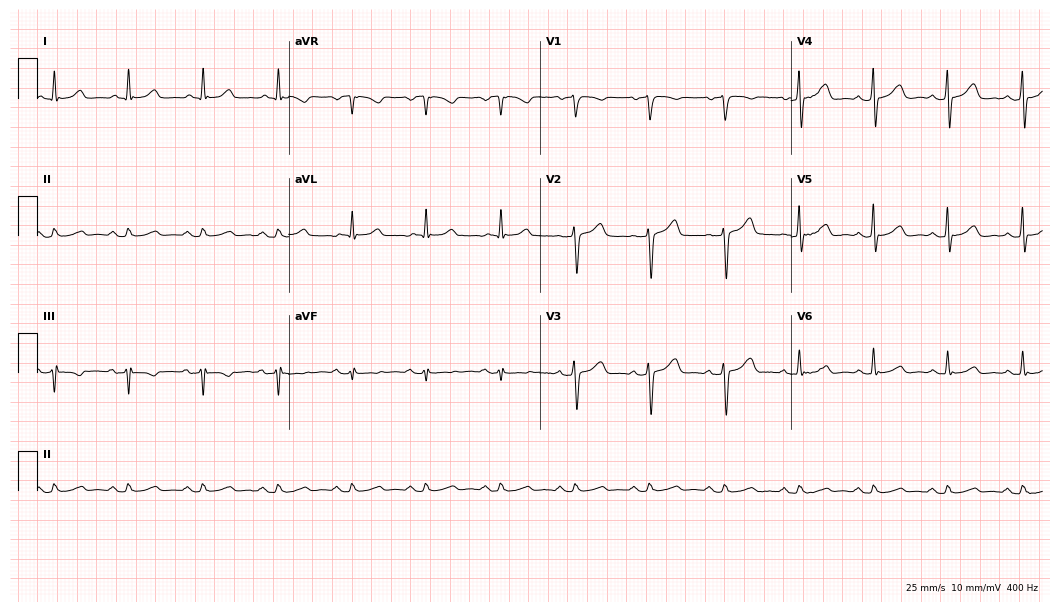
Electrocardiogram, a male patient, 56 years old. Overall reading on record: normal ECG.